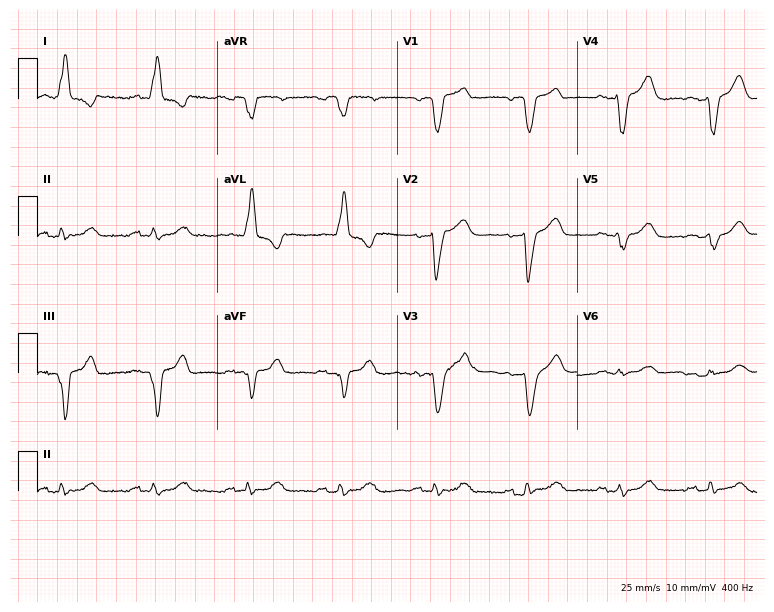
ECG — a 72-year-old female. Findings include left bundle branch block.